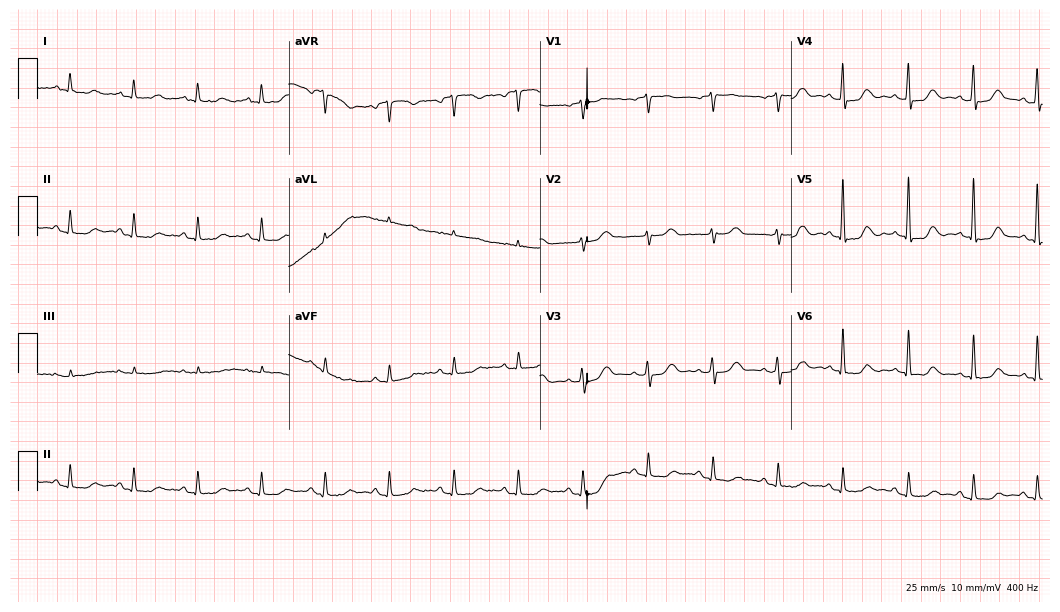
12-lead ECG from a female, 68 years old (10.2-second recording at 400 Hz). Recorded interpretation: within normal limits.